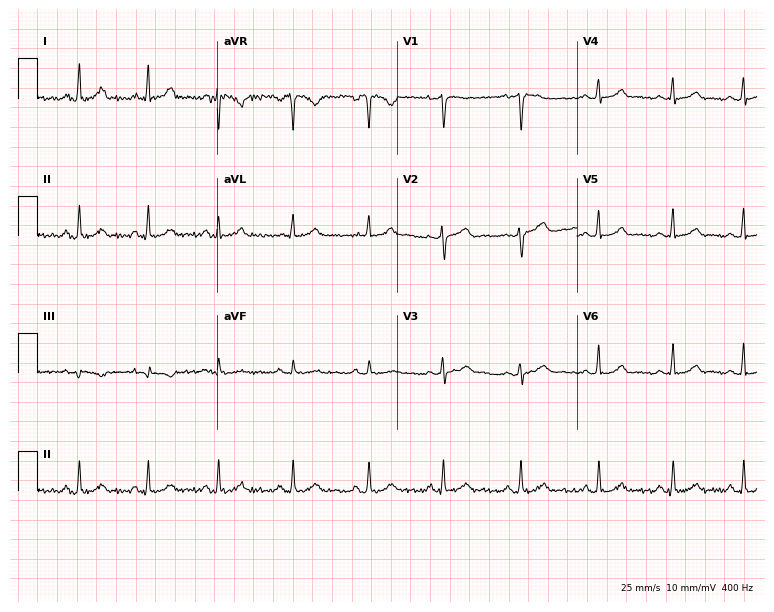
Resting 12-lead electrocardiogram. Patient: a 35-year-old female. Read as a normal ECG.